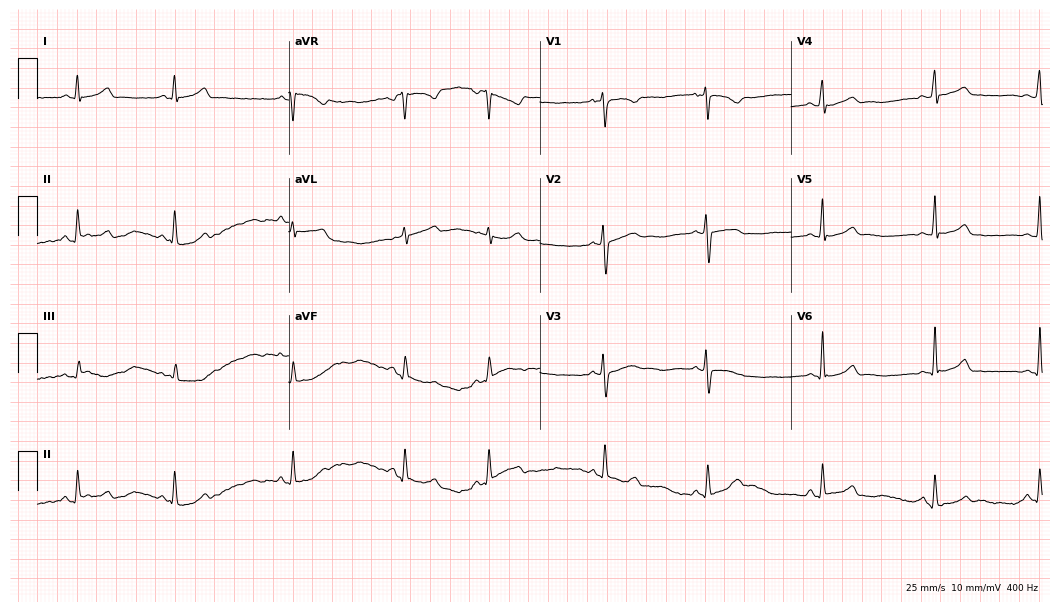
Standard 12-lead ECG recorded from a 25-year-old woman (10.2-second recording at 400 Hz). None of these six findings is recorded: first-degree AV block, right bundle branch block (RBBB), left bundle branch block (LBBB), sinus bradycardia, atrial fibrillation (AF), sinus tachycardia.